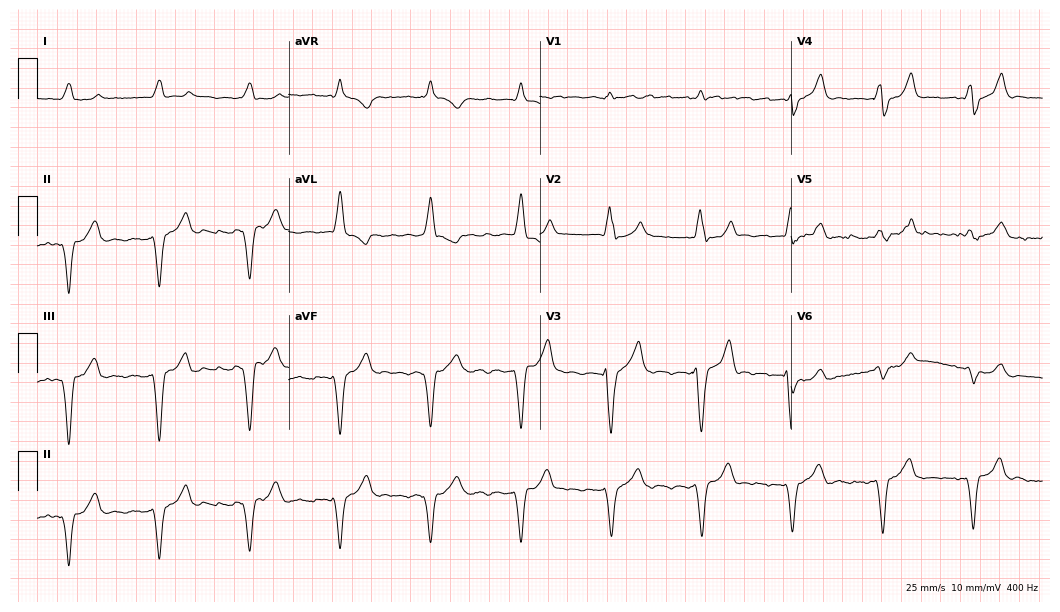
12-lead ECG from an 81-year-old male. Findings include left bundle branch block.